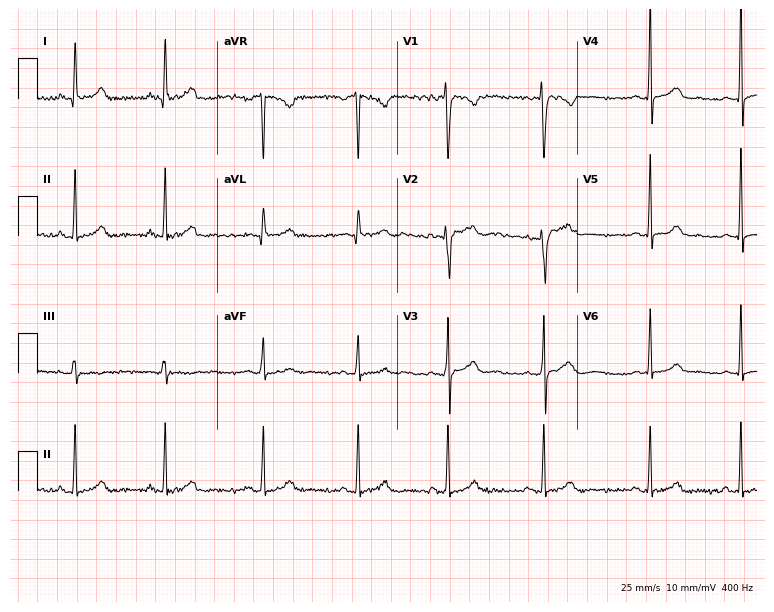
12-lead ECG from a female patient, 30 years old. Labelled as a normal ECG.